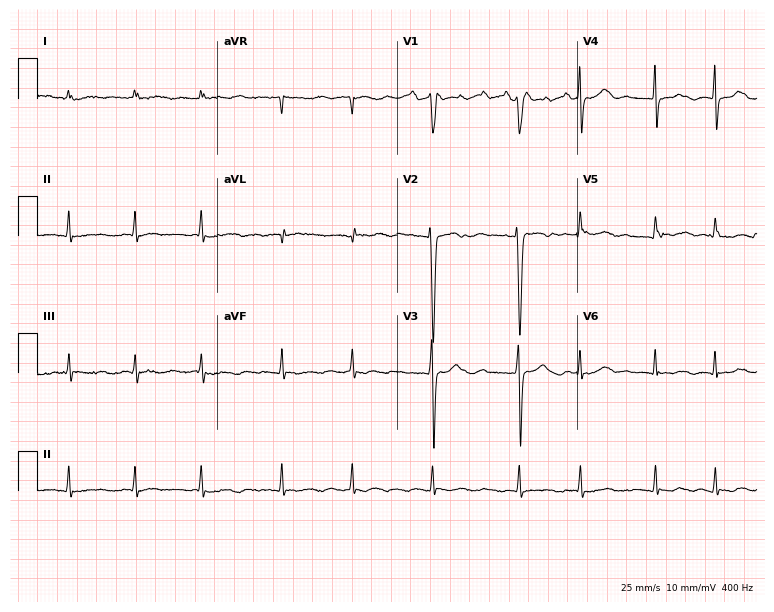
12-lead ECG (7.3-second recording at 400 Hz) from a female patient, 47 years old. Findings include atrial fibrillation.